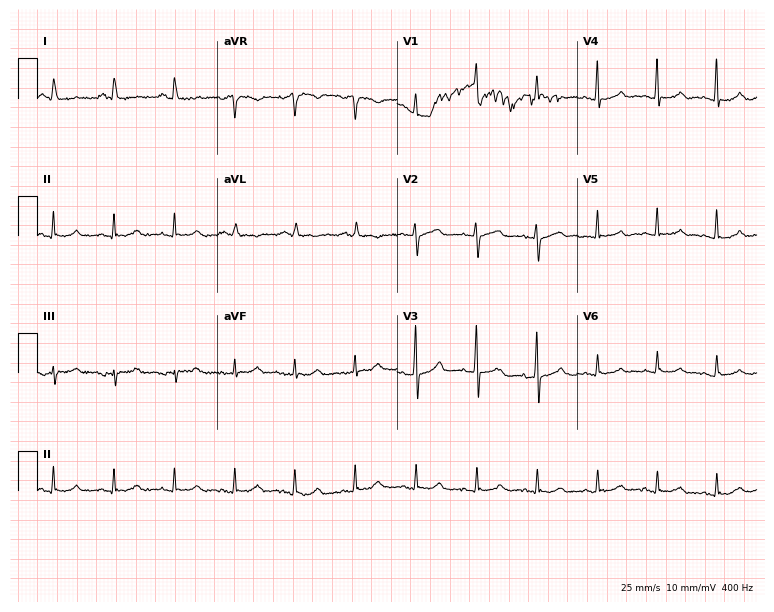
ECG (7.3-second recording at 400 Hz) — a male, 72 years old. Screened for six findings — first-degree AV block, right bundle branch block (RBBB), left bundle branch block (LBBB), sinus bradycardia, atrial fibrillation (AF), sinus tachycardia — none is recorded. Other findings, if any, are not listed.